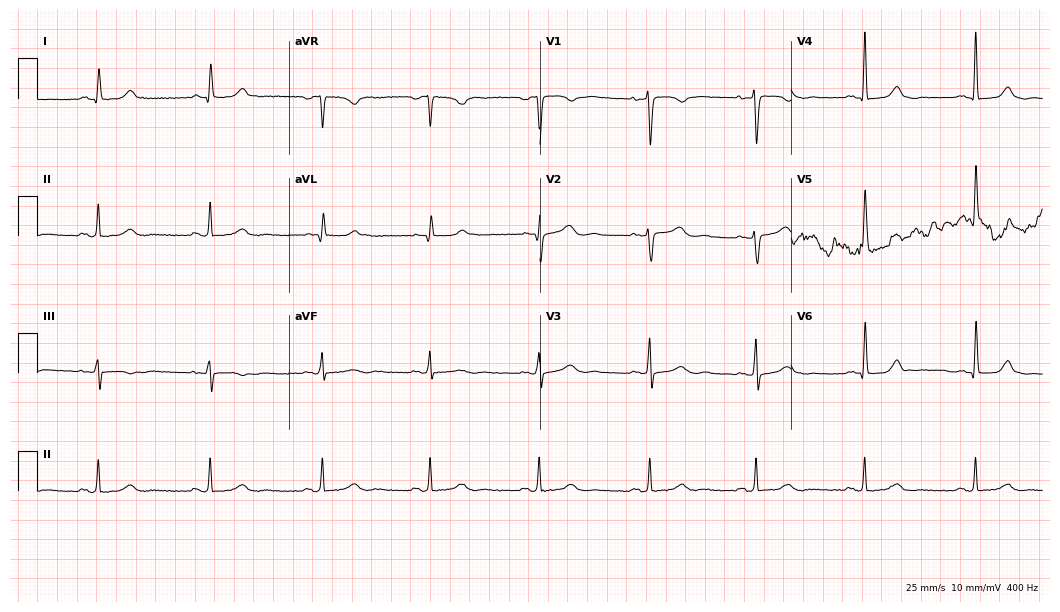
12-lead ECG from a female, 43 years old (10.2-second recording at 400 Hz). No first-degree AV block, right bundle branch block, left bundle branch block, sinus bradycardia, atrial fibrillation or sinus tachycardia recorded for this tracing.